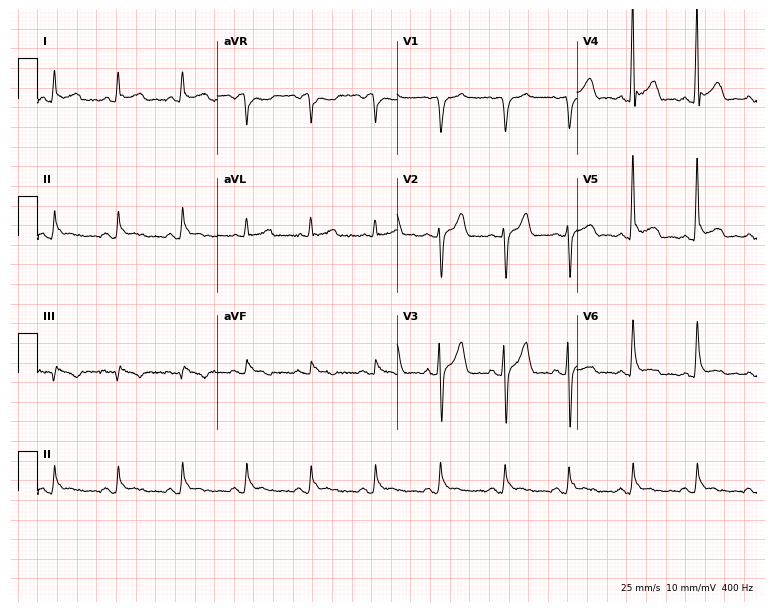
12-lead ECG (7.3-second recording at 400 Hz) from a man, 56 years old. Screened for six findings — first-degree AV block, right bundle branch block, left bundle branch block, sinus bradycardia, atrial fibrillation, sinus tachycardia — none is recorded. Findings outside these six are not listed.